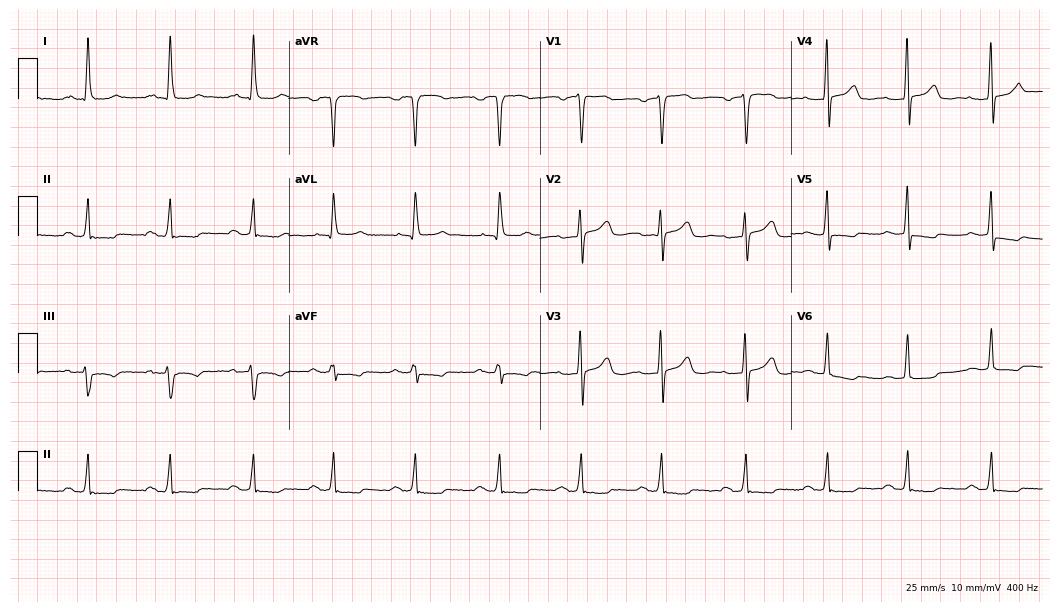
12-lead ECG from a female patient, 62 years old. Shows first-degree AV block.